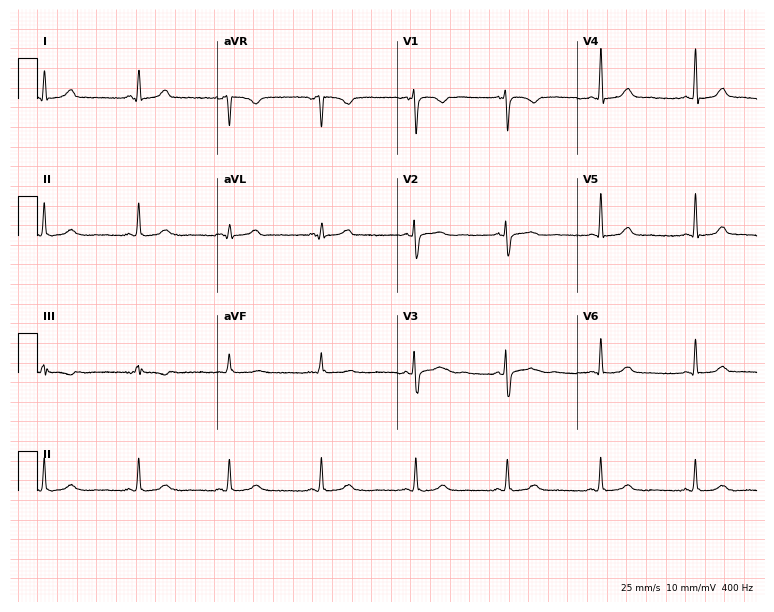
Electrocardiogram (7.3-second recording at 400 Hz), a 24-year-old female patient. Of the six screened findings (first-degree AV block, right bundle branch block (RBBB), left bundle branch block (LBBB), sinus bradycardia, atrial fibrillation (AF), sinus tachycardia), none is recorded. Other findings, if any, are not listed.